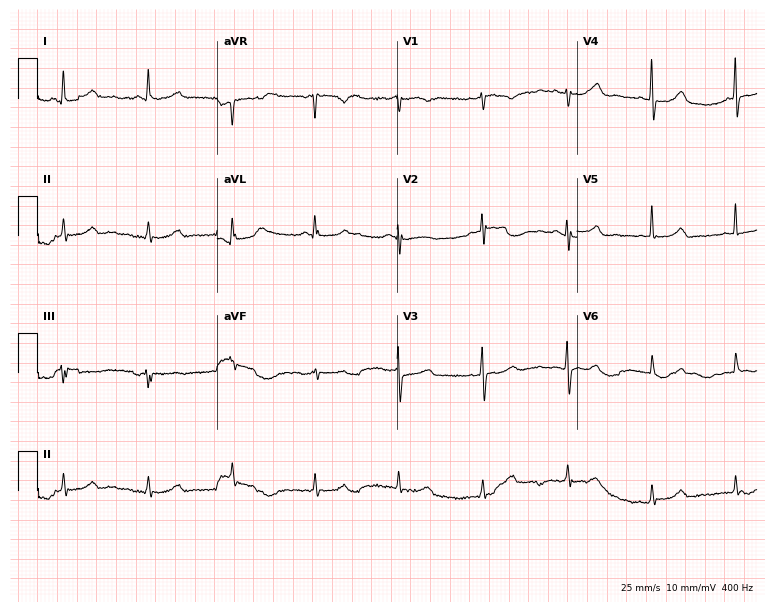
Electrocardiogram, a female, 59 years old. Overall reading on record: normal ECG.